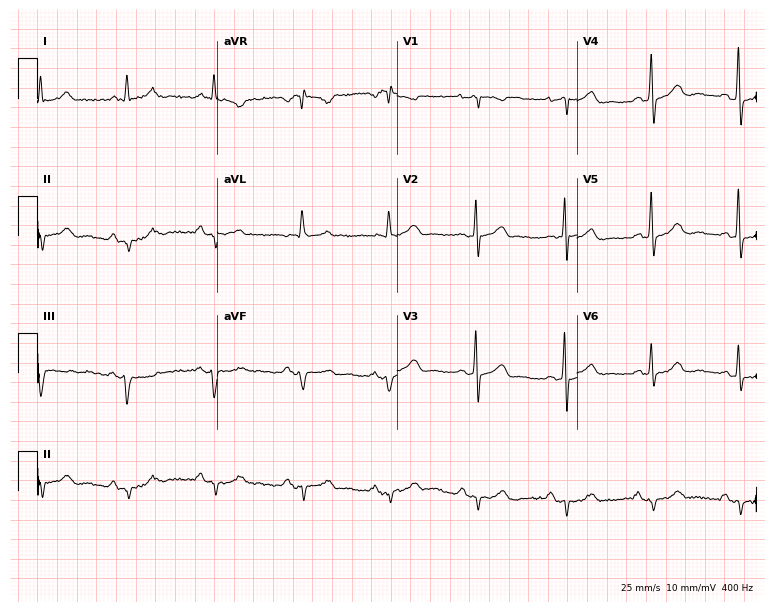
Electrocardiogram (7.3-second recording at 400 Hz), a 75-year-old male patient. Of the six screened findings (first-degree AV block, right bundle branch block, left bundle branch block, sinus bradycardia, atrial fibrillation, sinus tachycardia), none is recorded.